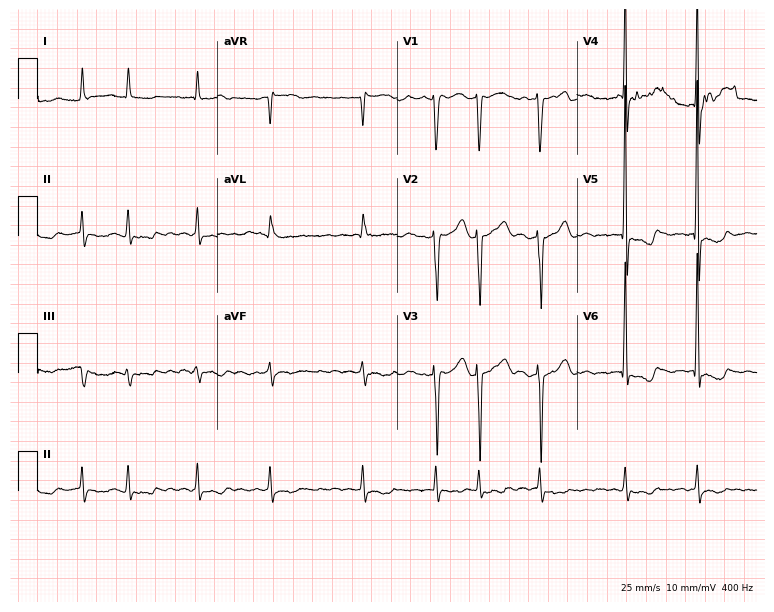
ECG — a 76-year-old male patient. Findings include atrial fibrillation.